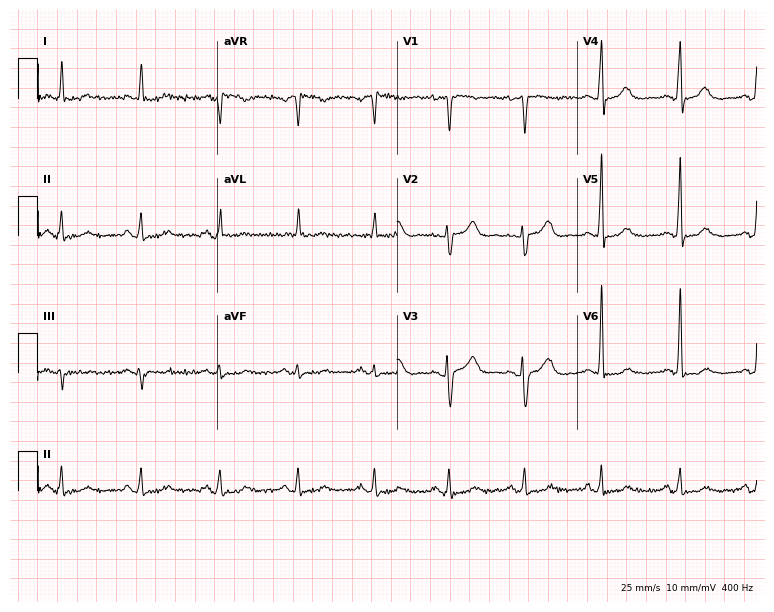
12-lead ECG from a 54-year-old man. No first-degree AV block, right bundle branch block (RBBB), left bundle branch block (LBBB), sinus bradycardia, atrial fibrillation (AF) or sinus tachycardia recorded for this tracing. Findings outside these six are not listed.